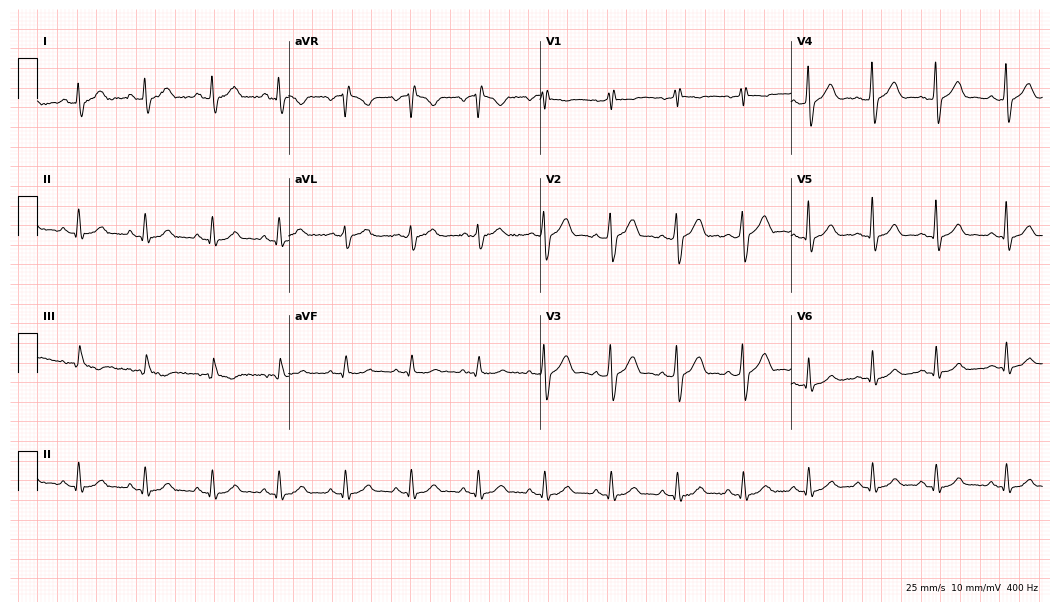
12-lead ECG from a male patient, 39 years old. Recorded interpretation: within normal limits.